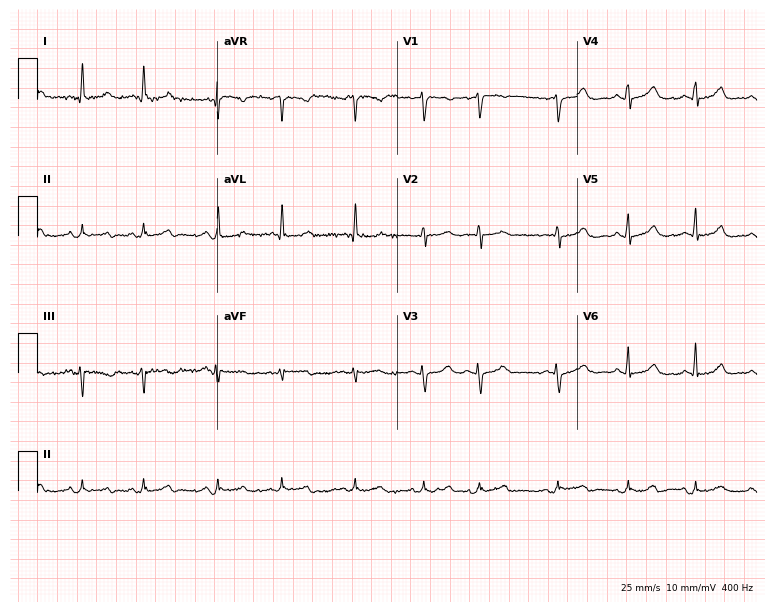
12-lead ECG from a 73-year-old female patient. Recorded interpretation: within normal limits.